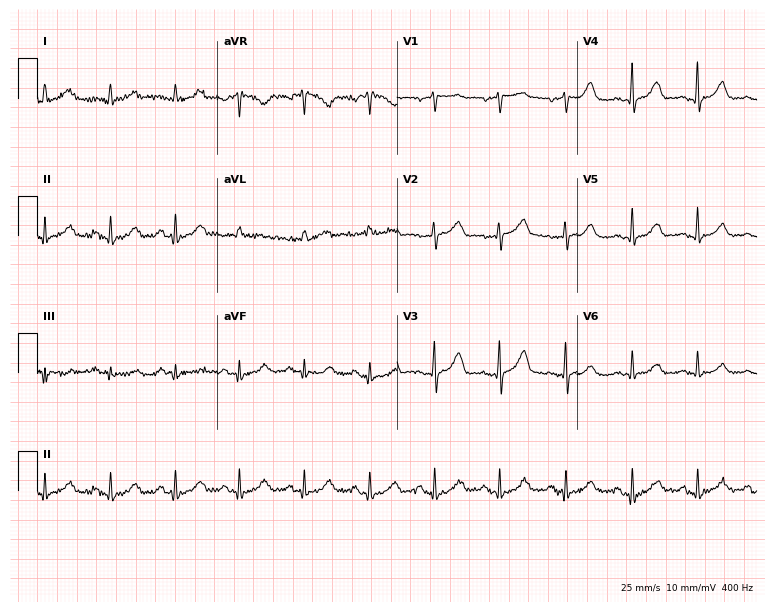
Resting 12-lead electrocardiogram (7.3-second recording at 400 Hz). Patient: a 58-year-old woman. Read as a normal ECG.